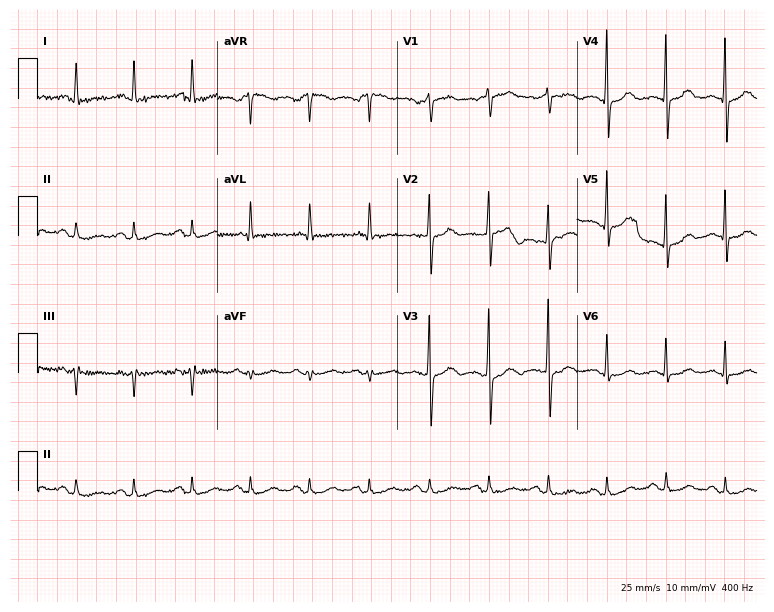
ECG — a female patient, 63 years old. Screened for six findings — first-degree AV block, right bundle branch block, left bundle branch block, sinus bradycardia, atrial fibrillation, sinus tachycardia — none is recorded.